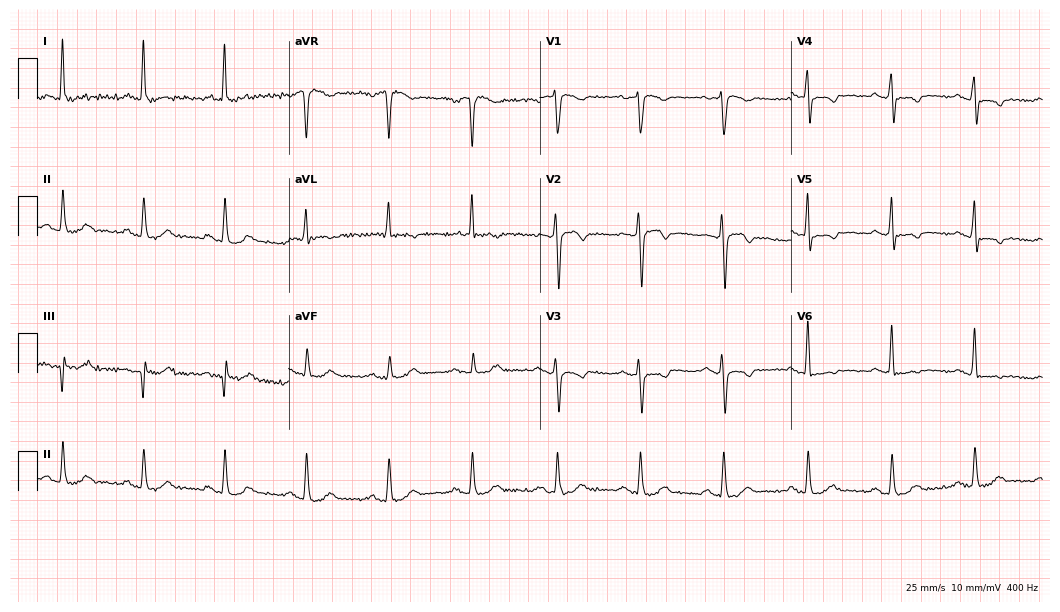
12-lead ECG from a woman, 68 years old. No first-degree AV block, right bundle branch block, left bundle branch block, sinus bradycardia, atrial fibrillation or sinus tachycardia recorded for this tracing. Only these six findings were labelled.